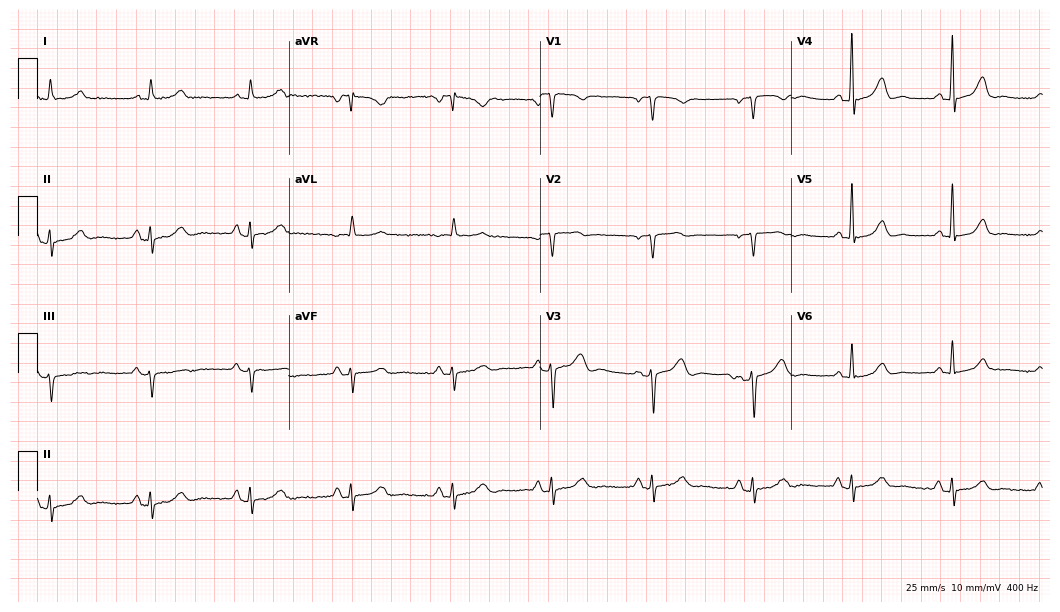
12-lead ECG (10.2-second recording at 400 Hz) from a woman, 71 years old. Screened for six findings — first-degree AV block, right bundle branch block, left bundle branch block, sinus bradycardia, atrial fibrillation, sinus tachycardia — none is recorded.